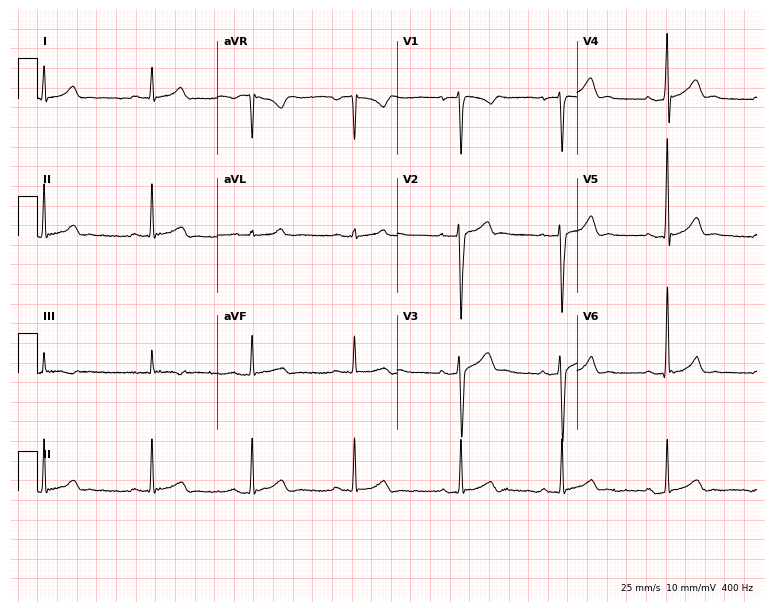
Electrocardiogram (7.3-second recording at 400 Hz), a male patient, 29 years old. Overall reading on record: normal ECG.